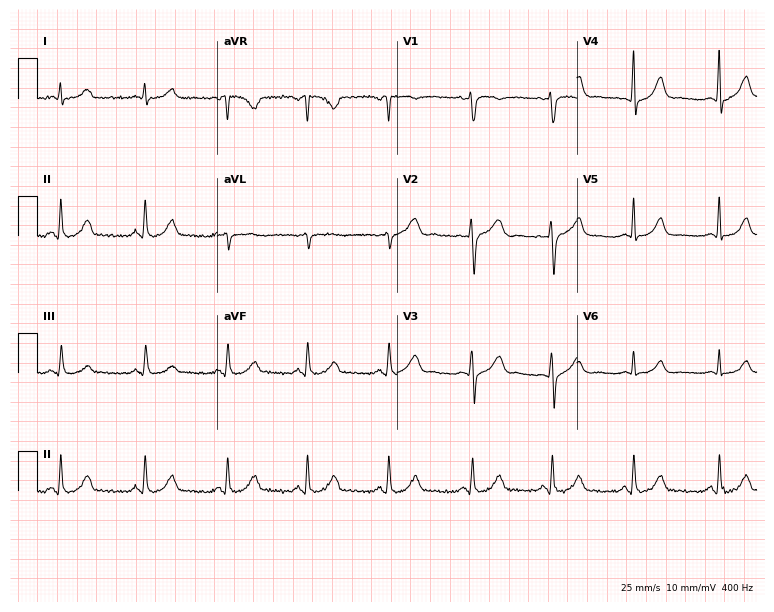
Standard 12-lead ECG recorded from a 31-year-old female patient (7.3-second recording at 400 Hz). Read as a normal ECG.